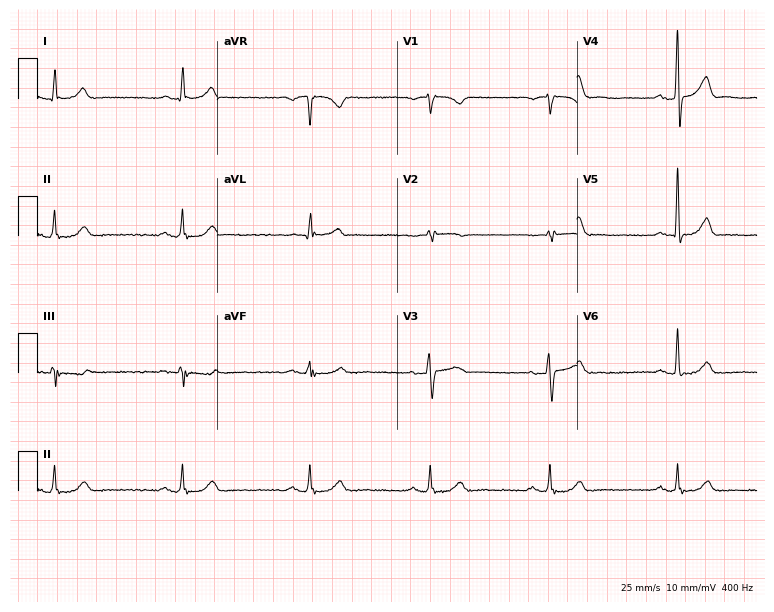
Standard 12-lead ECG recorded from a 62-year-old male patient. The tracing shows sinus bradycardia (a sinus rate of 50 beats per minute or less).